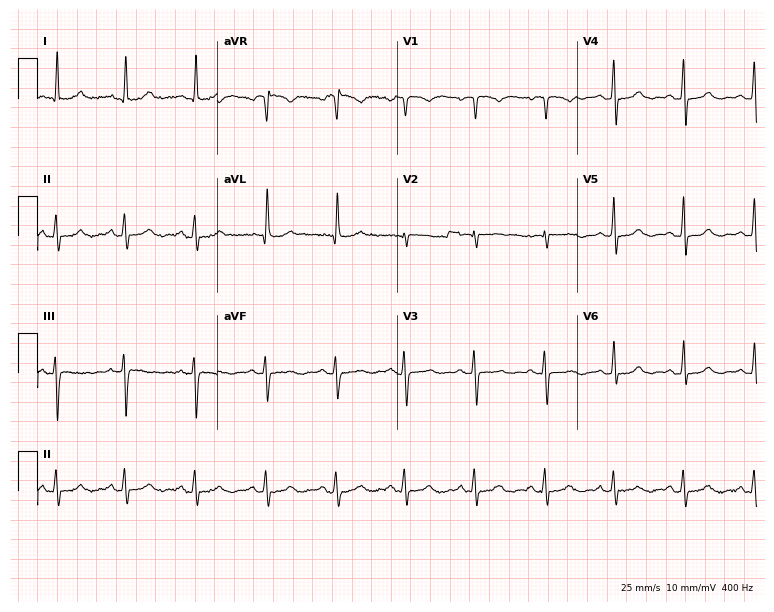
Electrocardiogram (7.3-second recording at 400 Hz), a 49-year-old woman. Overall reading on record: normal ECG.